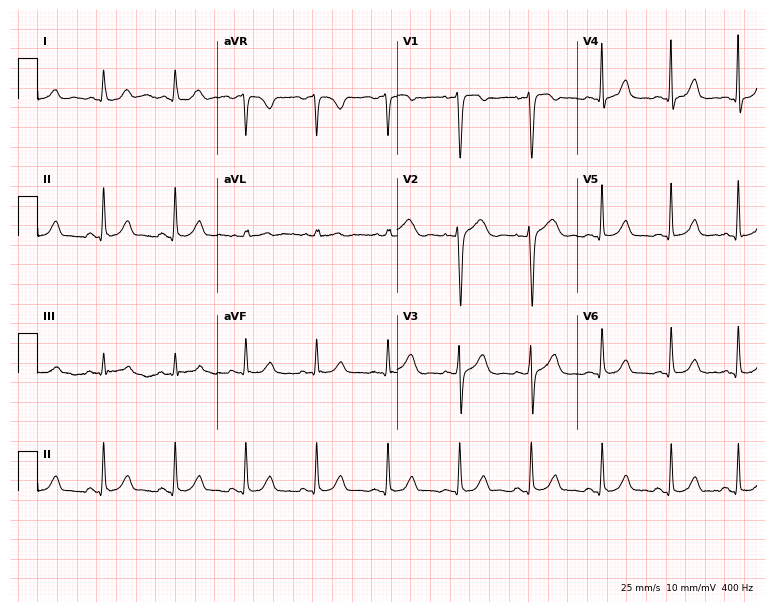
Electrocardiogram, a woman, 47 years old. Of the six screened findings (first-degree AV block, right bundle branch block, left bundle branch block, sinus bradycardia, atrial fibrillation, sinus tachycardia), none is recorded. Only these six findings were labelled.